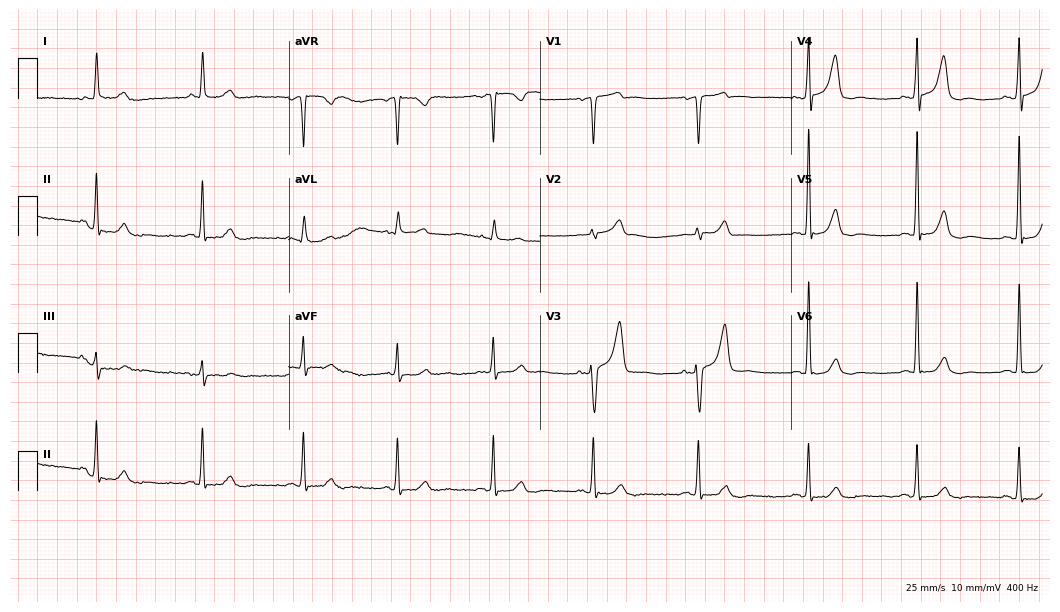
Electrocardiogram (10.2-second recording at 400 Hz), a male patient, 83 years old. Overall reading on record: normal ECG.